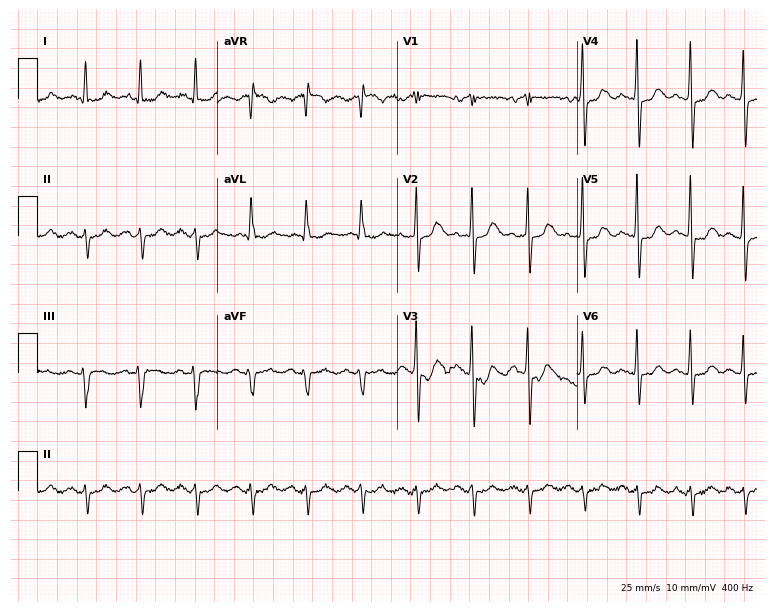
Electrocardiogram, a 71-year-old female. Interpretation includes sinus tachycardia (a sinus rate of 100 beats per minute or more).